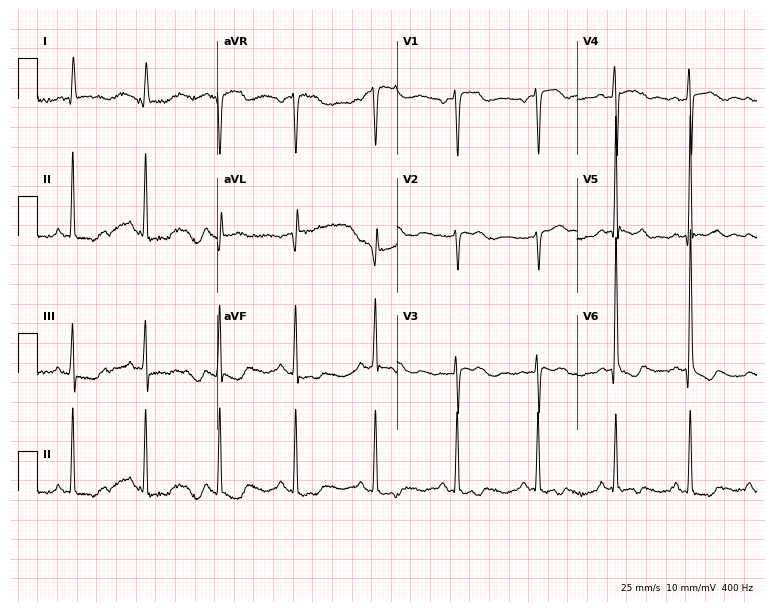
Standard 12-lead ECG recorded from a man, 68 years old. None of these six findings is recorded: first-degree AV block, right bundle branch block (RBBB), left bundle branch block (LBBB), sinus bradycardia, atrial fibrillation (AF), sinus tachycardia.